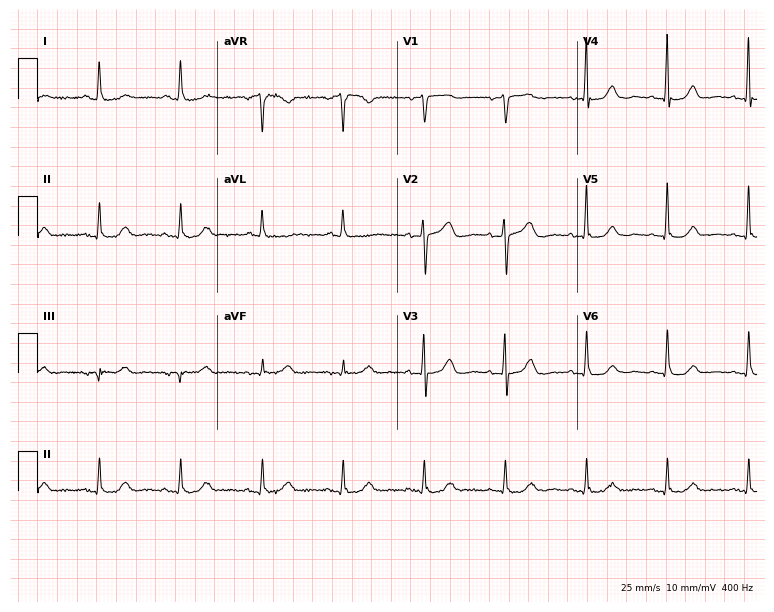
Standard 12-lead ECG recorded from a 75-year-old woman. Read as a normal ECG.